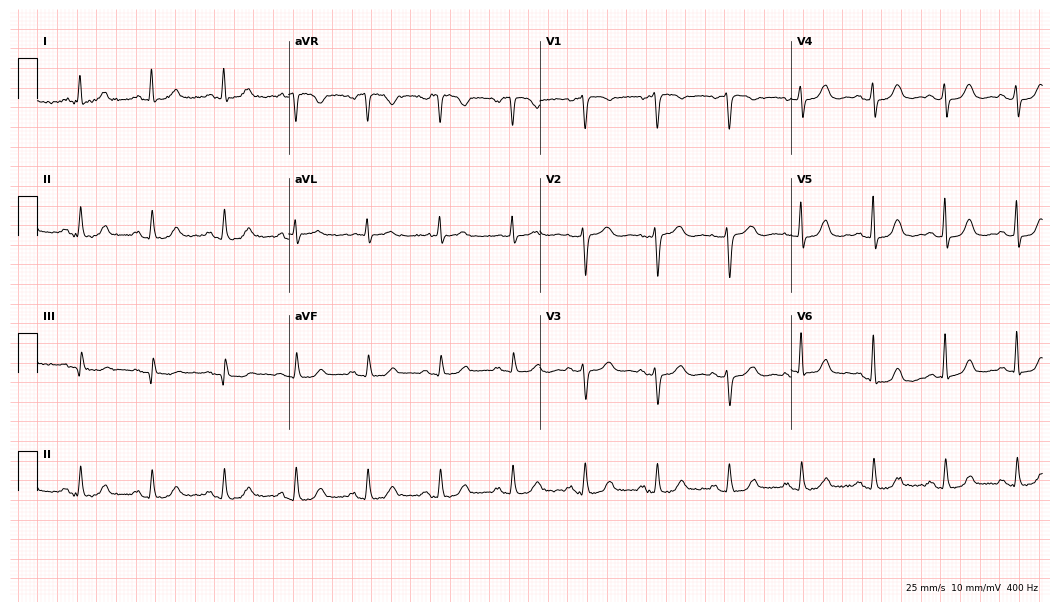
Standard 12-lead ECG recorded from a female patient, 82 years old (10.2-second recording at 400 Hz). Read as a normal ECG.